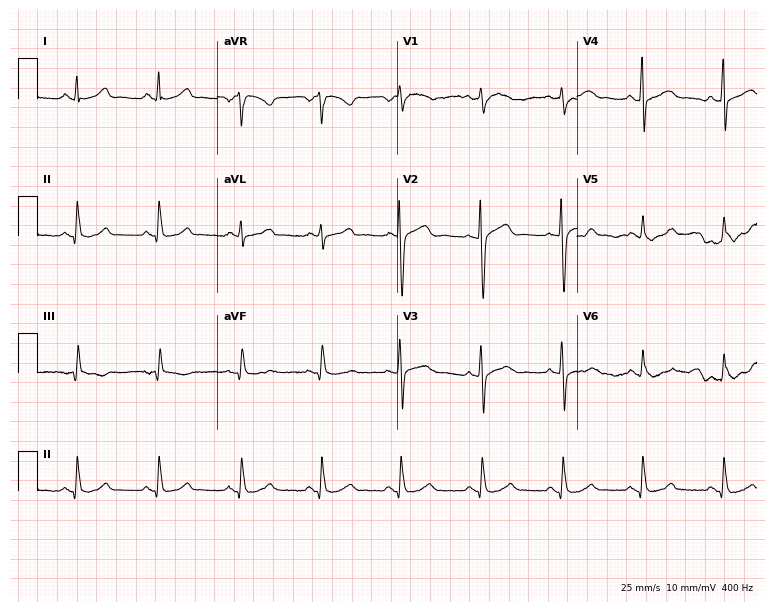
12-lead ECG from a 55-year-old man. Labelled as a normal ECG.